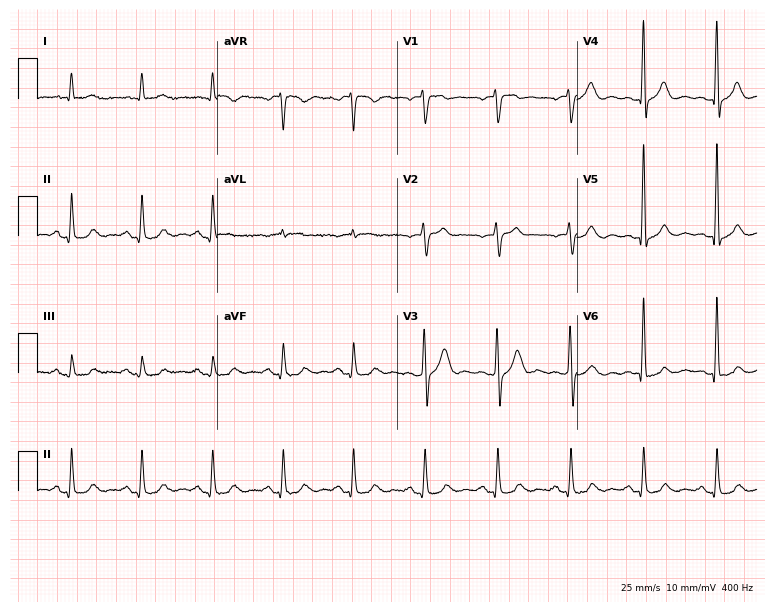
Standard 12-lead ECG recorded from a 69-year-old male patient. Read as a normal ECG.